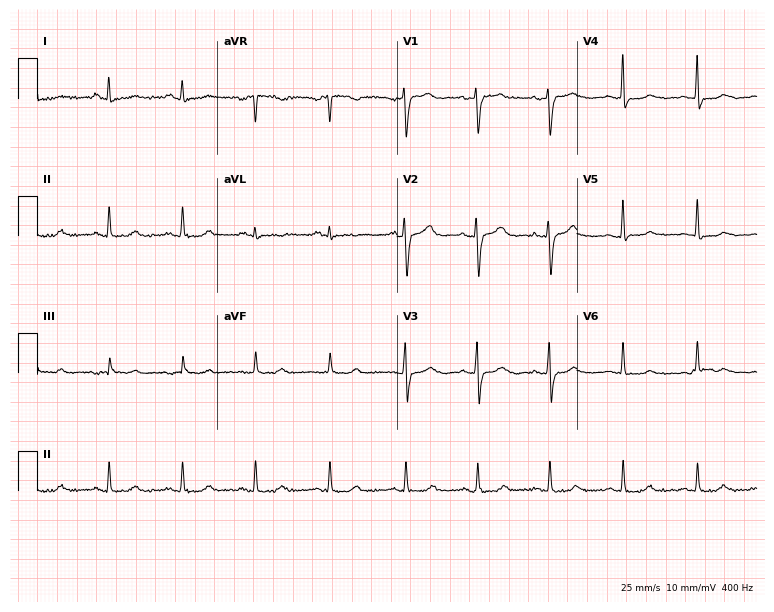
ECG (7.3-second recording at 400 Hz) — a 53-year-old woman. Screened for six findings — first-degree AV block, right bundle branch block (RBBB), left bundle branch block (LBBB), sinus bradycardia, atrial fibrillation (AF), sinus tachycardia — none is recorded.